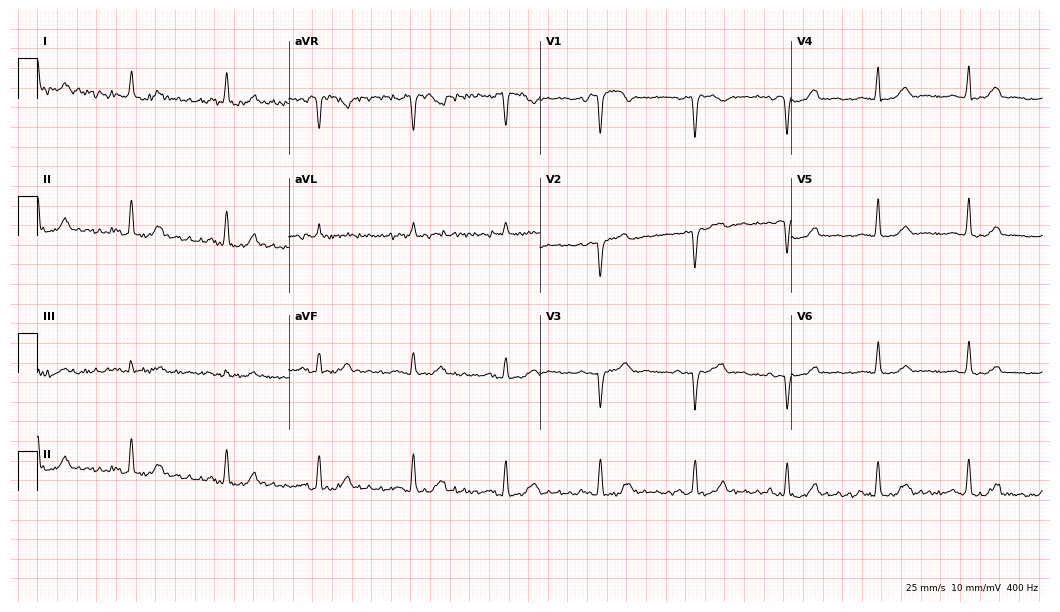
Electrocardiogram, a 67-year-old woman. Overall reading on record: normal ECG.